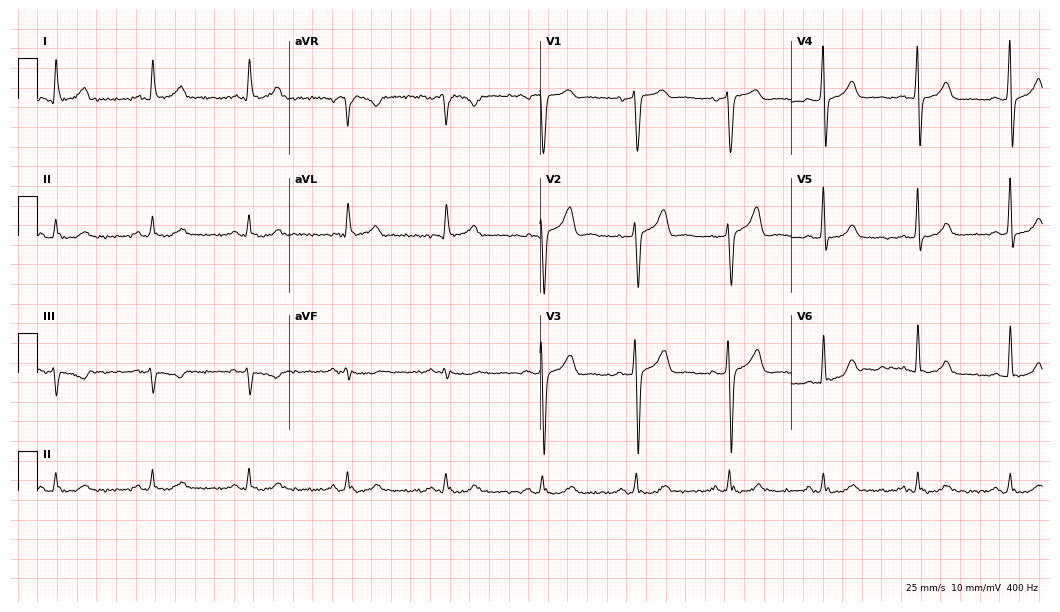
Resting 12-lead electrocardiogram (10.2-second recording at 400 Hz). Patient: a male, 54 years old. None of these six findings is recorded: first-degree AV block, right bundle branch block, left bundle branch block, sinus bradycardia, atrial fibrillation, sinus tachycardia.